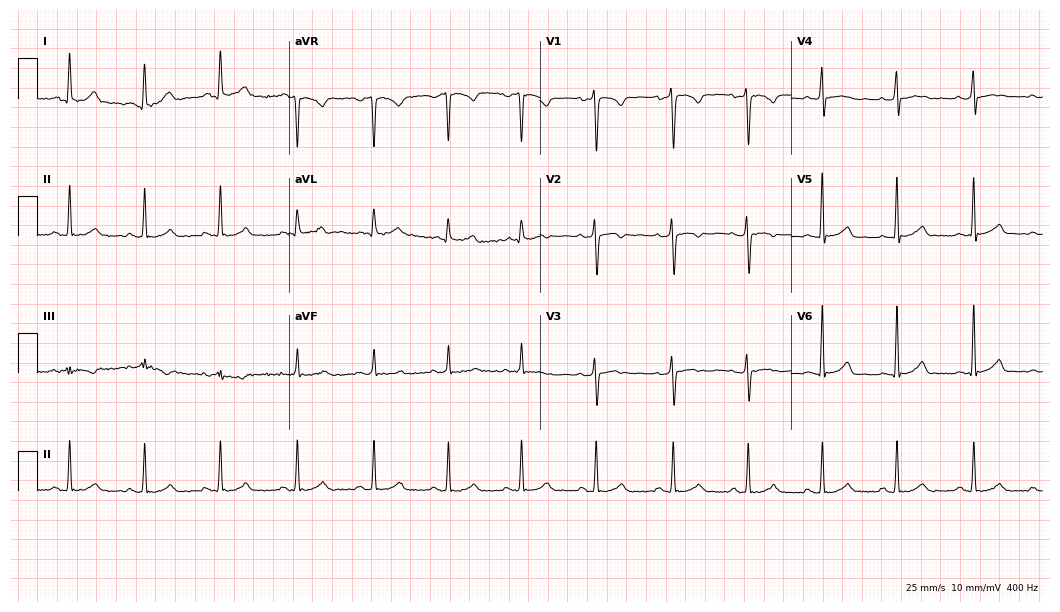
ECG (10.2-second recording at 400 Hz) — a female patient, 23 years old. Labelled as a normal ECG.